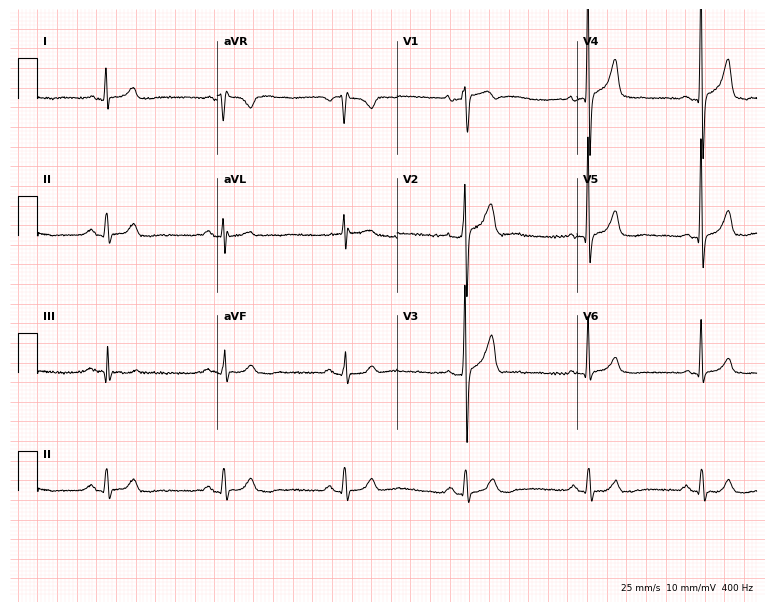
Standard 12-lead ECG recorded from a male patient, 58 years old (7.3-second recording at 400 Hz). The tracing shows sinus bradycardia (a sinus rate of 50 beats per minute or less).